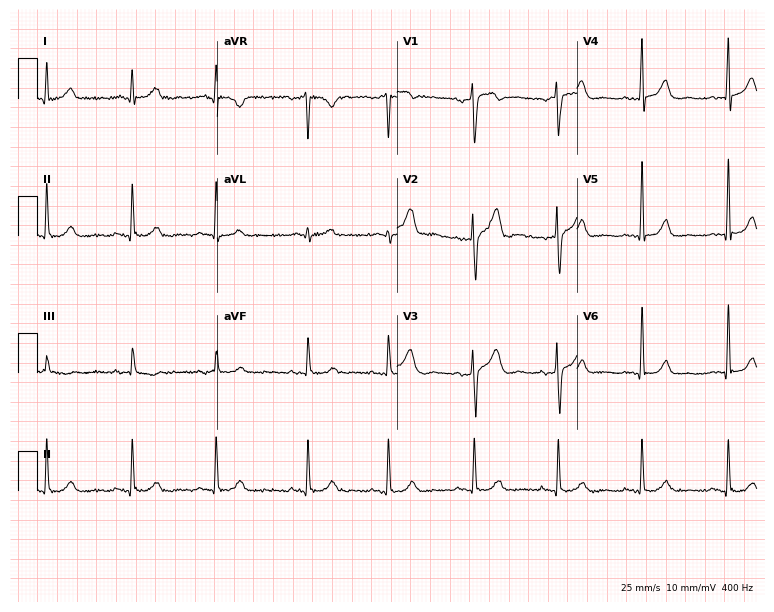
12-lead ECG from a 44-year-old male patient (7.3-second recording at 400 Hz). Recorded interpretation: within normal limits.